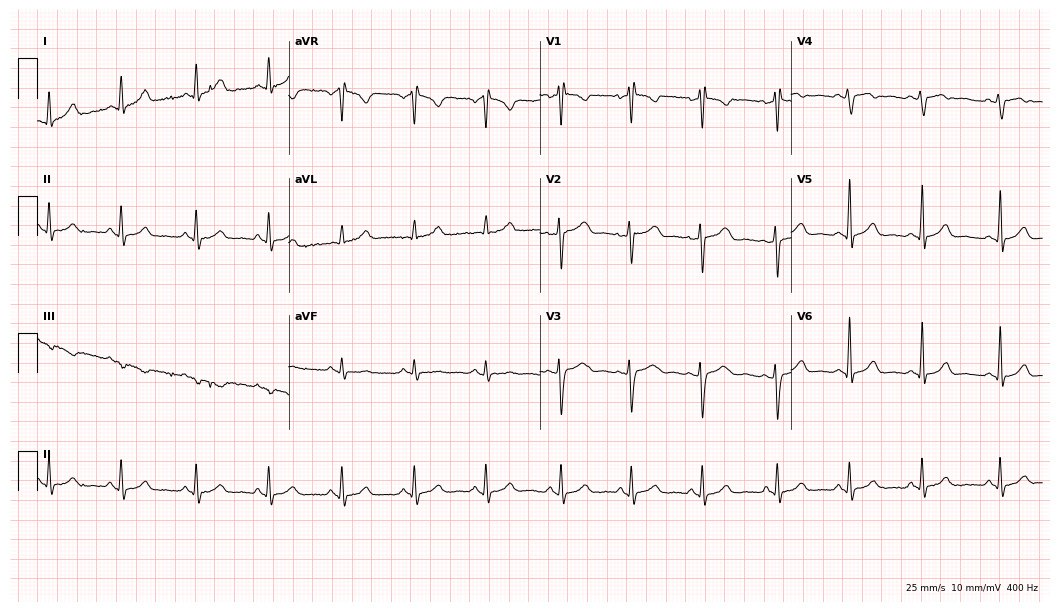
ECG (10.2-second recording at 400 Hz) — a 26-year-old man. Screened for six findings — first-degree AV block, right bundle branch block, left bundle branch block, sinus bradycardia, atrial fibrillation, sinus tachycardia — none is recorded. Other findings, if any, are not listed.